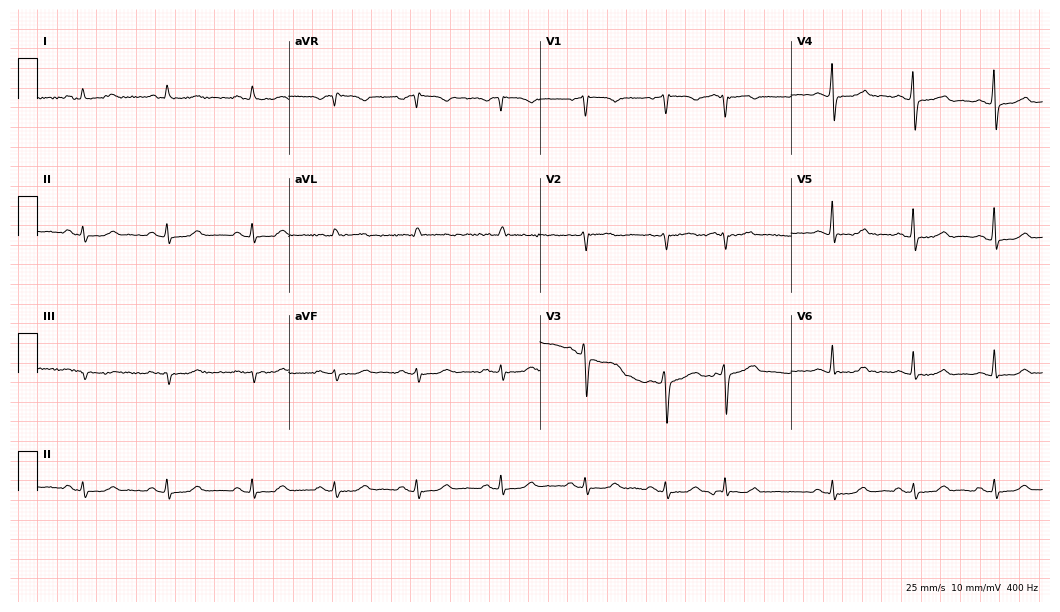
12-lead ECG from a female patient, 58 years old (10.2-second recording at 400 Hz). No first-degree AV block, right bundle branch block, left bundle branch block, sinus bradycardia, atrial fibrillation or sinus tachycardia recorded for this tracing.